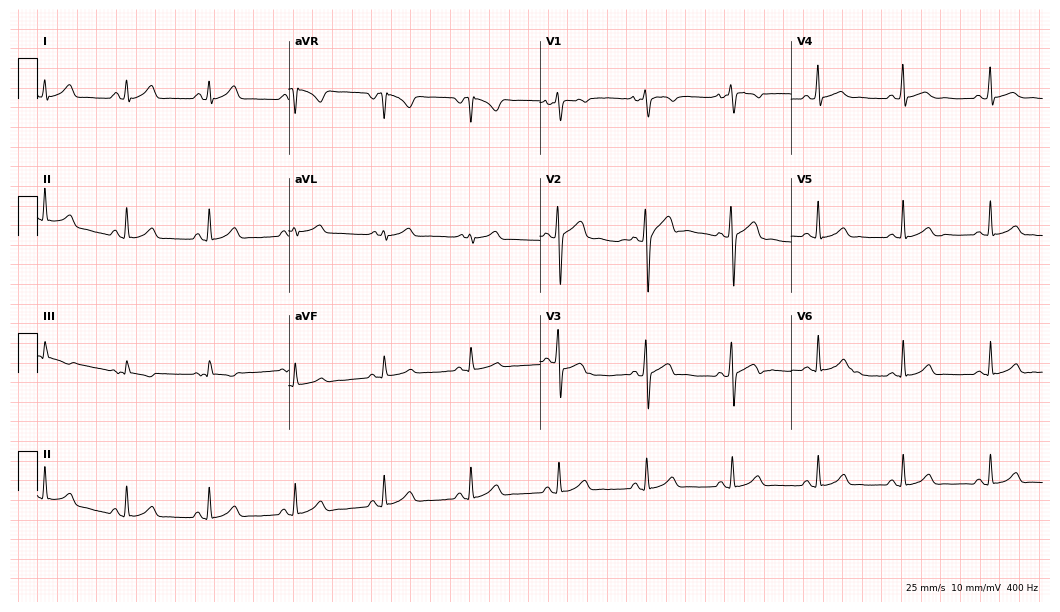
12-lead ECG from a 32-year-old male patient. Recorded interpretation: within normal limits.